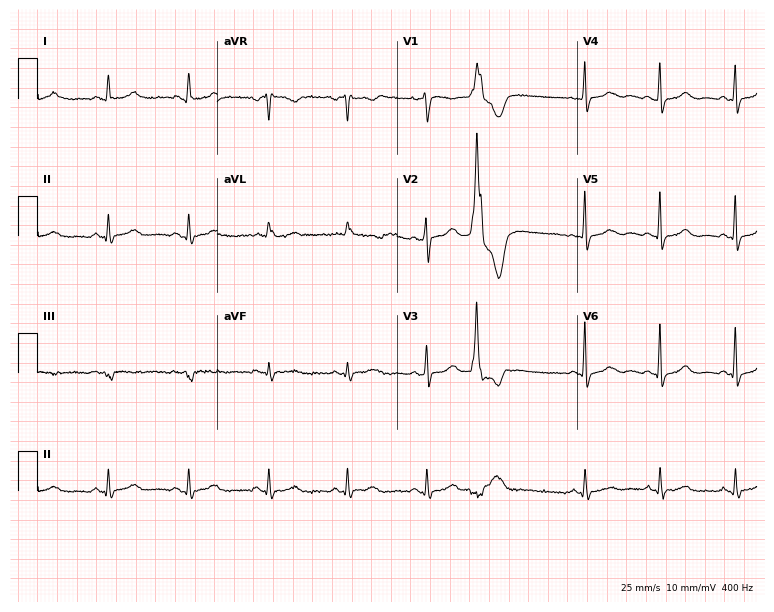
Standard 12-lead ECG recorded from a female patient, 47 years old (7.3-second recording at 400 Hz). None of these six findings is recorded: first-degree AV block, right bundle branch block (RBBB), left bundle branch block (LBBB), sinus bradycardia, atrial fibrillation (AF), sinus tachycardia.